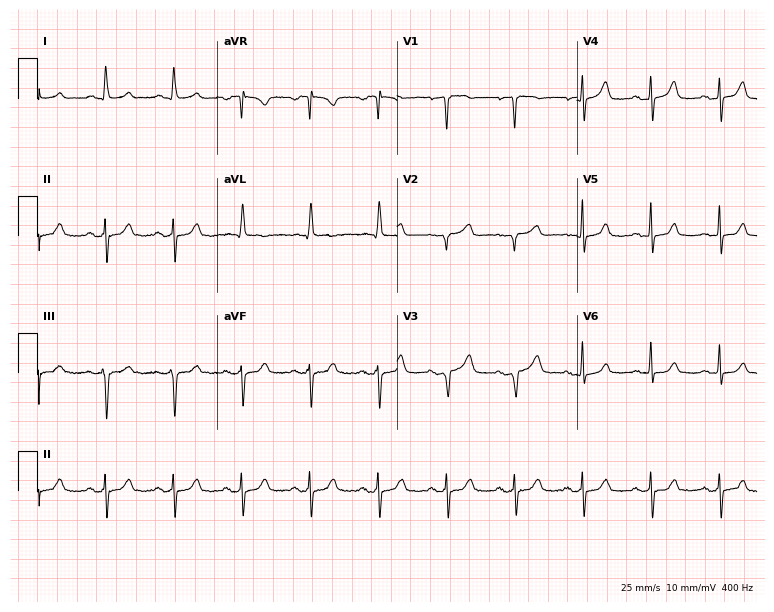
Resting 12-lead electrocardiogram. Patient: an 83-year-old female. None of these six findings is recorded: first-degree AV block, right bundle branch block, left bundle branch block, sinus bradycardia, atrial fibrillation, sinus tachycardia.